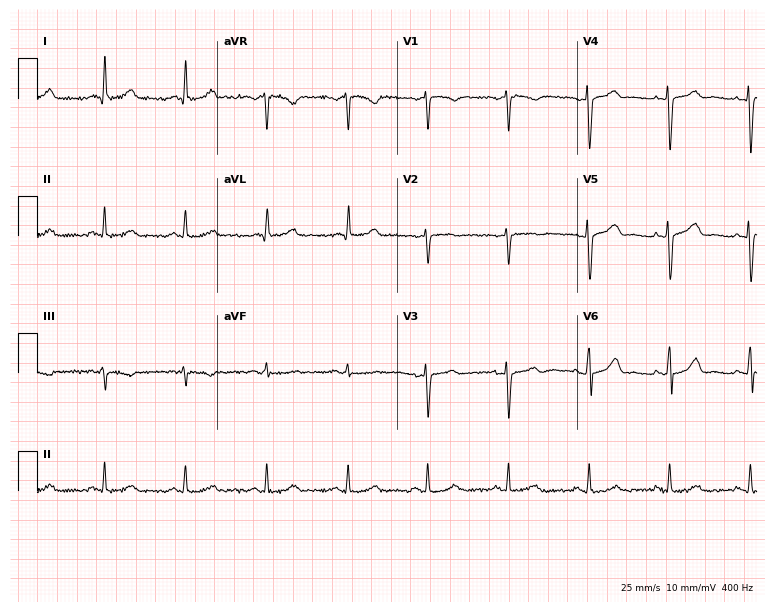
12-lead ECG from a female, 51 years old. Screened for six findings — first-degree AV block, right bundle branch block, left bundle branch block, sinus bradycardia, atrial fibrillation, sinus tachycardia — none is recorded.